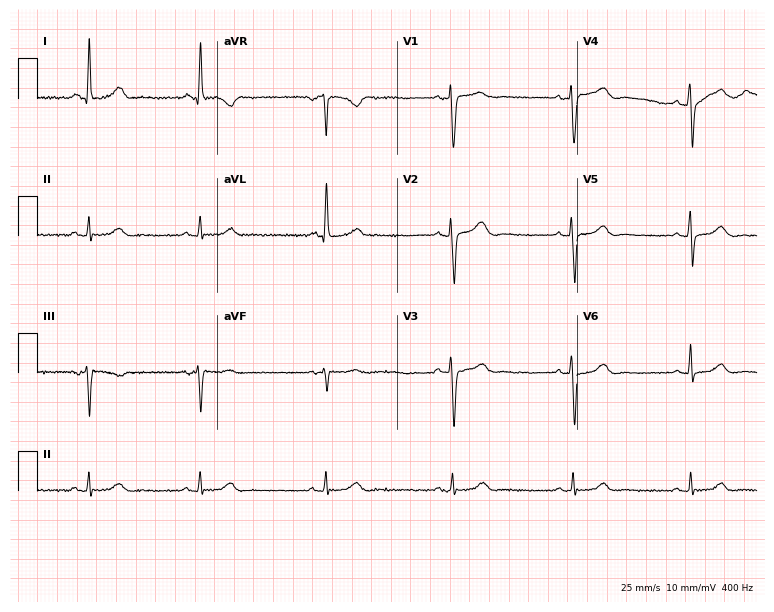
ECG — a 37-year-old female patient. Findings include sinus bradycardia (a sinus rate of 50 beats per minute or less).